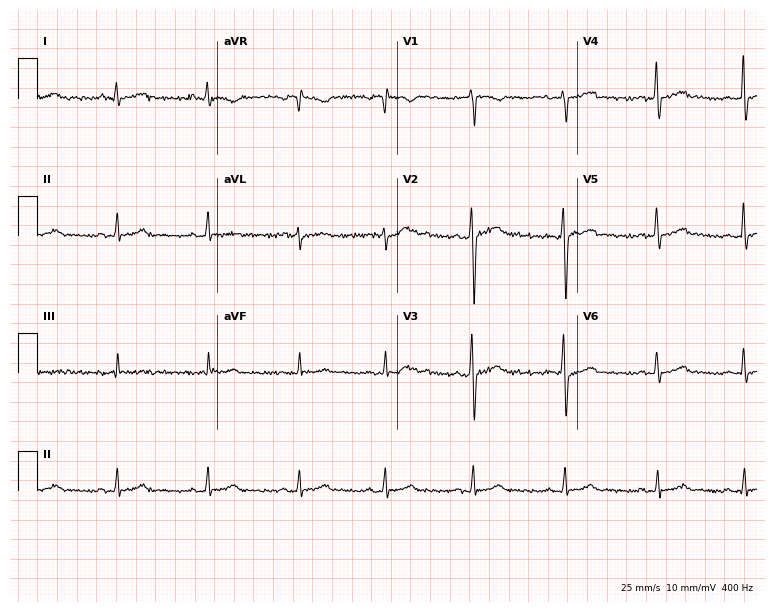
Standard 12-lead ECG recorded from a 51-year-old man (7.3-second recording at 400 Hz). Read as a normal ECG.